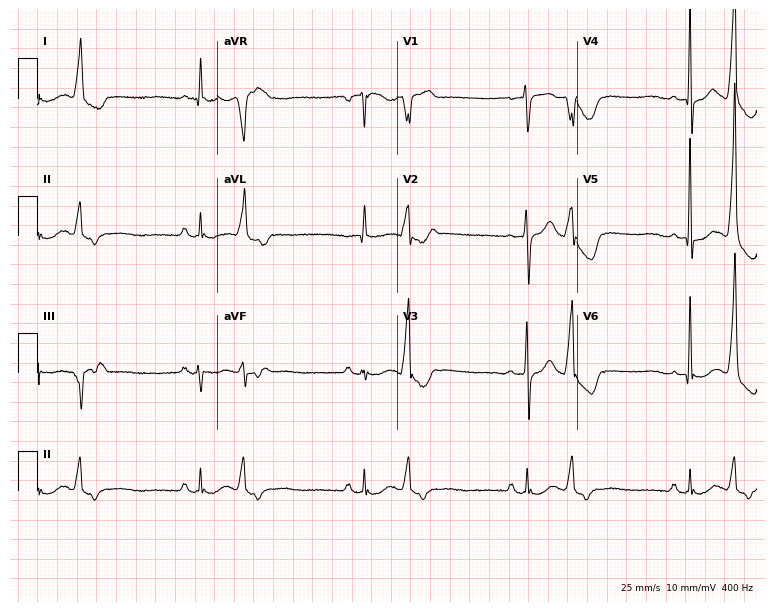
Electrocardiogram (7.3-second recording at 400 Hz), an 82-year-old man. Of the six screened findings (first-degree AV block, right bundle branch block, left bundle branch block, sinus bradycardia, atrial fibrillation, sinus tachycardia), none is recorded. Other findings, if any, are not listed.